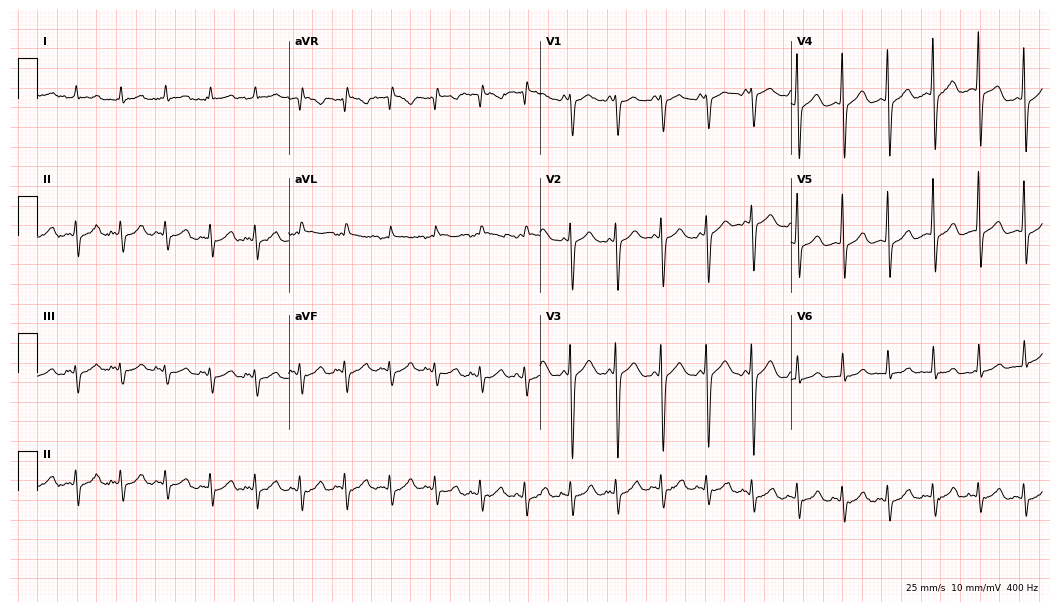
ECG — a female, 83 years old. Screened for six findings — first-degree AV block, right bundle branch block, left bundle branch block, sinus bradycardia, atrial fibrillation, sinus tachycardia — none is recorded.